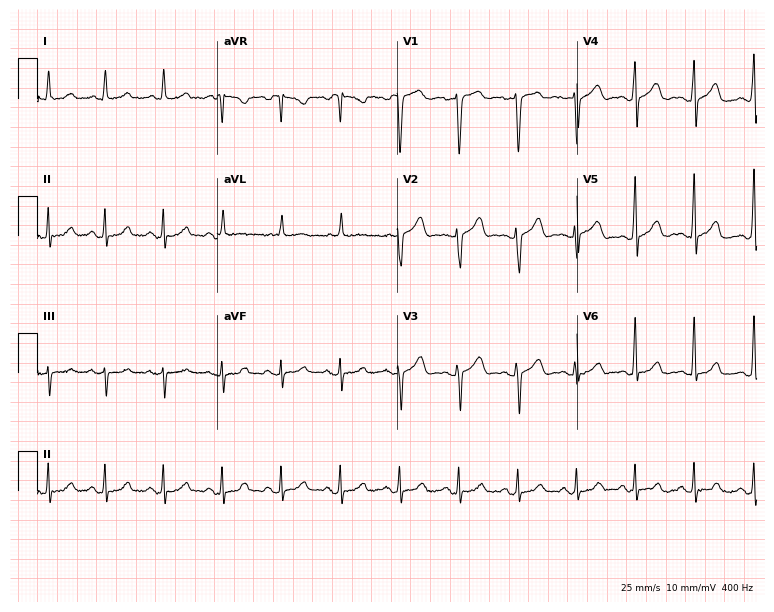
Resting 12-lead electrocardiogram. Patient: a 52-year-old male. None of these six findings is recorded: first-degree AV block, right bundle branch block, left bundle branch block, sinus bradycardia, atrial fibrillation, sinus tachycardia.